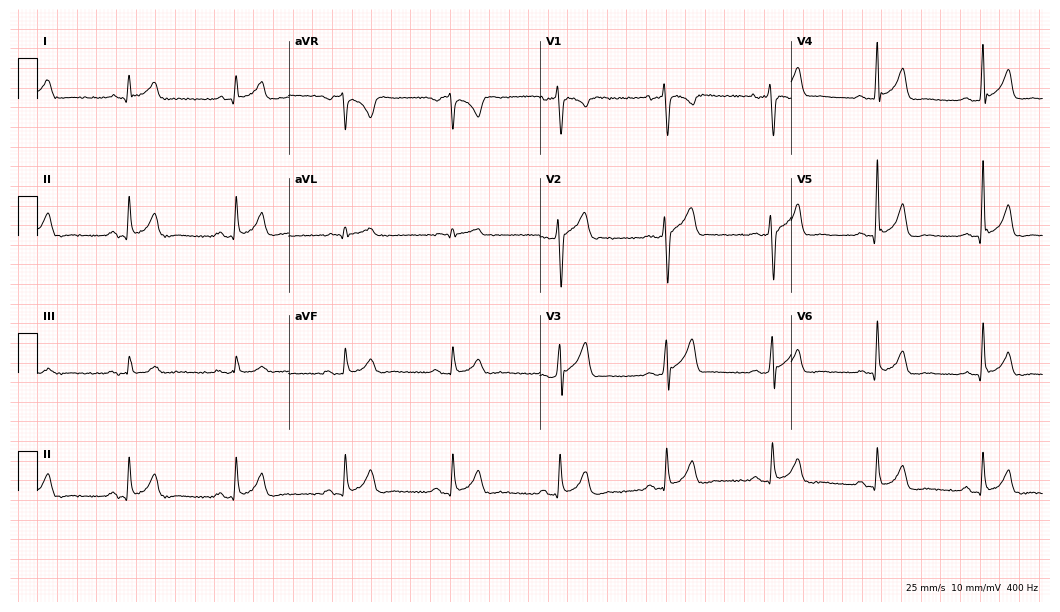
Resting 12-lead electrocardiogram. Patient: a man, 36 years old. Read as a normal ECG.